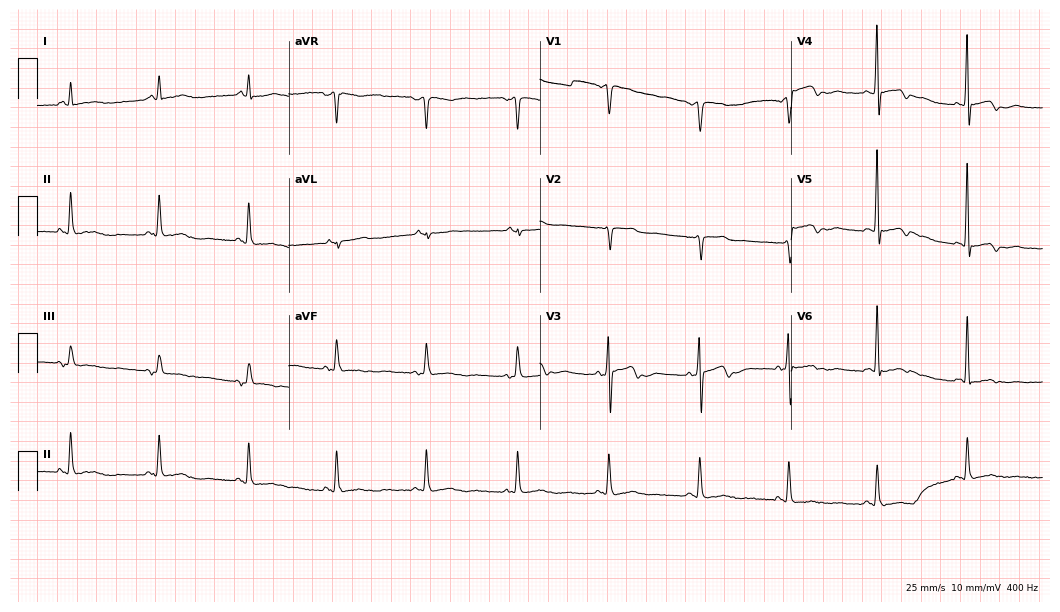
Resting 12-lead electrocardiogram. Patient: a male, 64 years old. None of these six findings is recorded: first-degree AV block, right bundle branch block, left bundle branch block, sinus bradycardia, atrial fibrillation, sinus tachycardia.